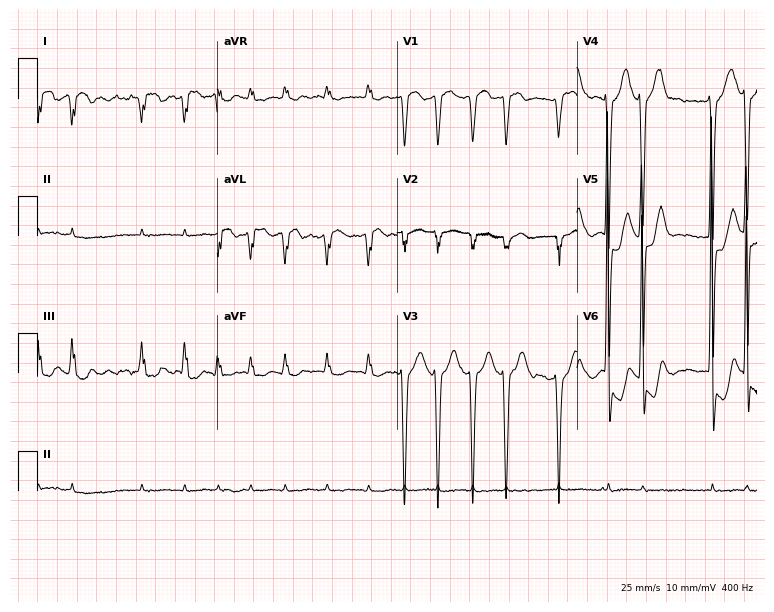
ECG (7.3-second recording at 400 Hz) — an 82-year-old male. Findings include atrial fibrillation (AF).